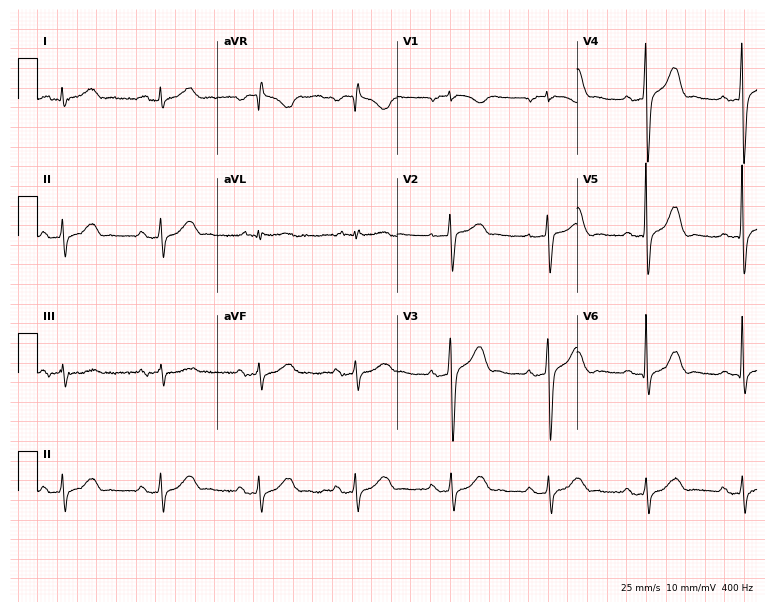
Standard 12-lead ECG recorded from a 69-year-old male (7.3-second recording at 400 Hz). Read as a normal ECG.